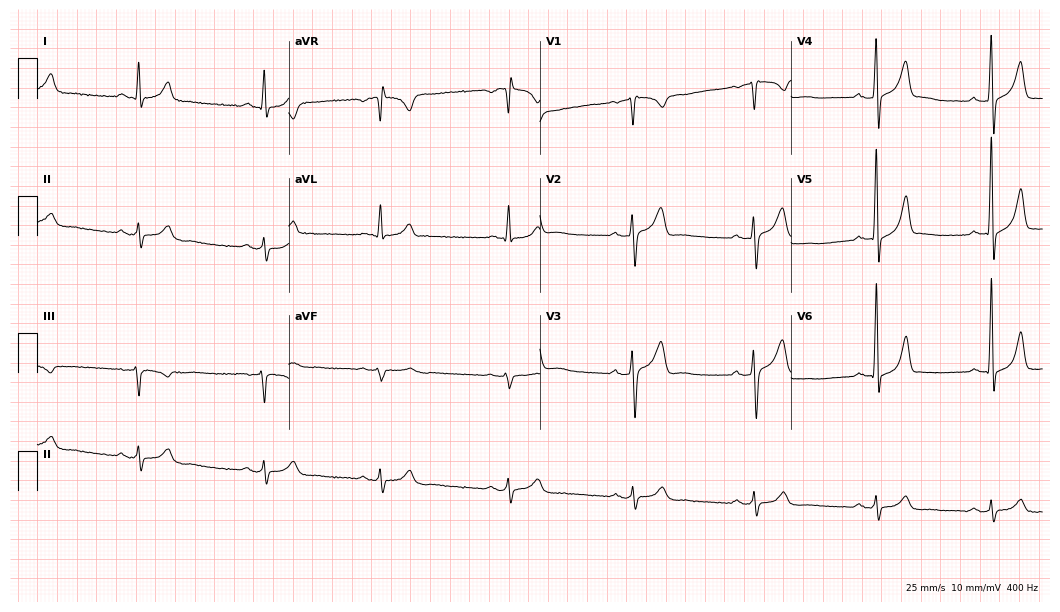
ECG (10.2-second recording at 400 Hz) — a man, 44 years old. Findings include sinus bradycardia (a sinus rate of 50 beats per minute or less).